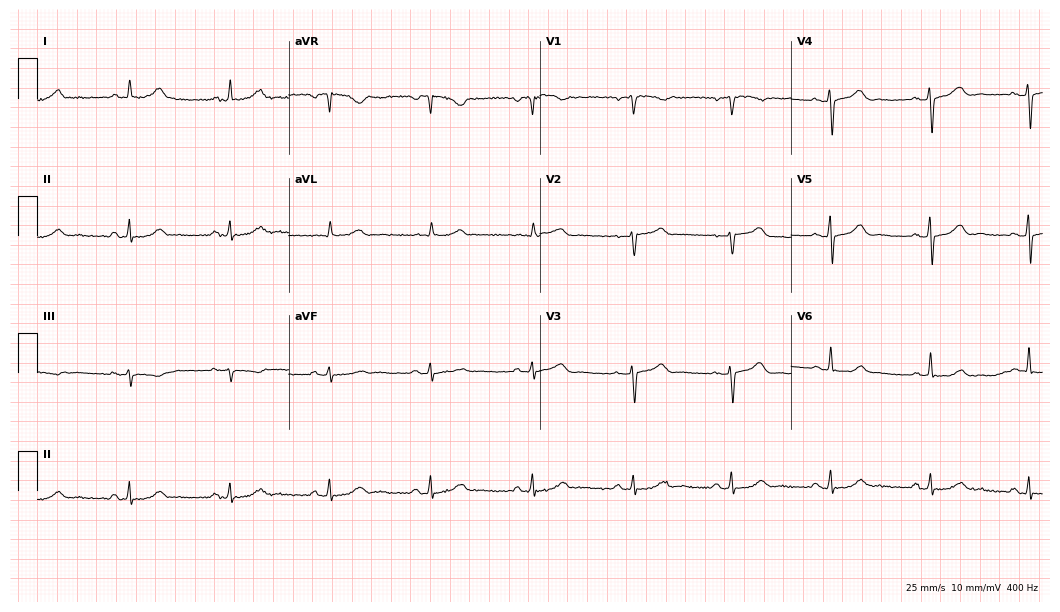
Resting 12-lead electrocardiogram (10.2-second recording at 400 Hz). Patient: a 62-year-old woman. Read as a normal ECG.